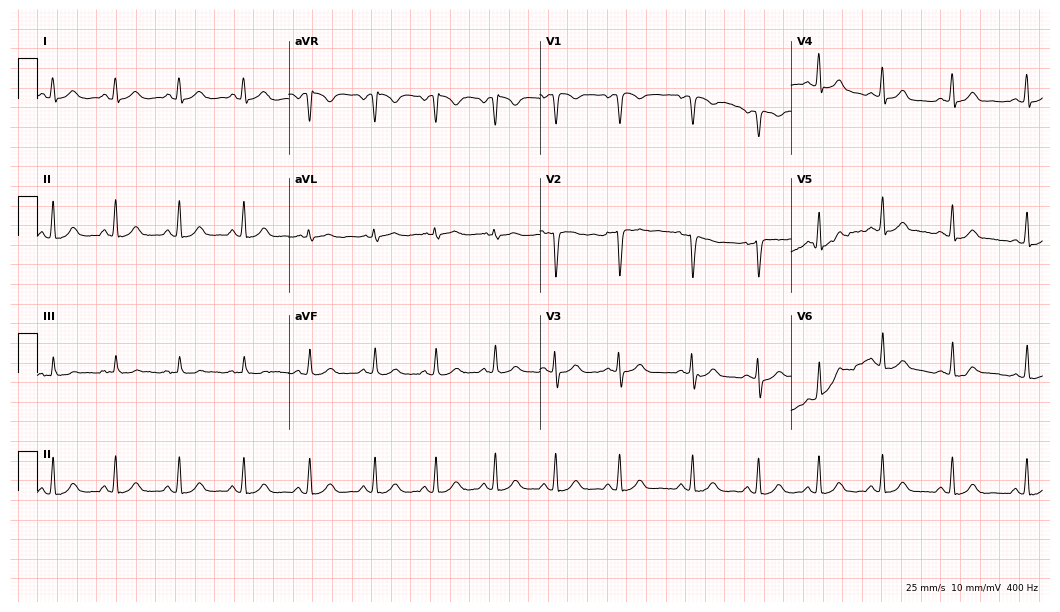
Standard 12-lead ECG recorded from a female patient, 20 years old (10.2-second recording at 400 Hz). Read as a normal ECG.